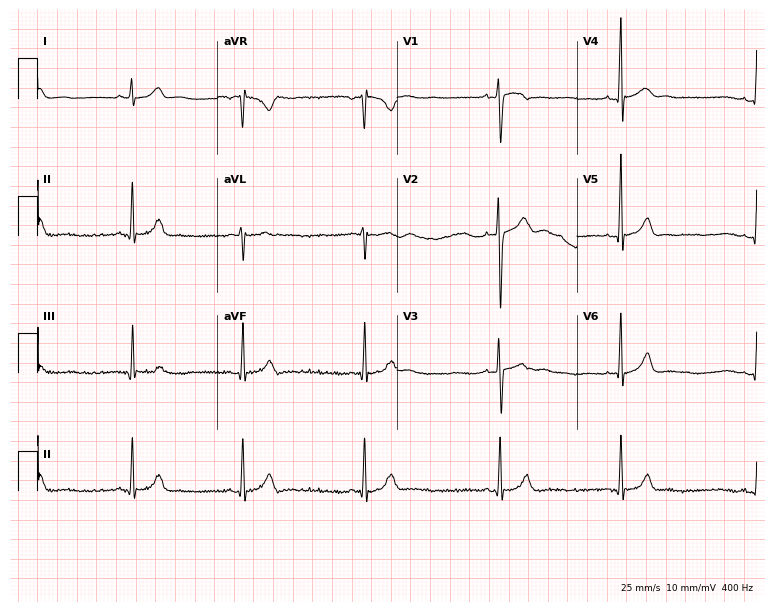
12-lead ECG from a 17-year-old male. Screened for six findings — first-degree AV block, right bundle branch block, left bundle branch block, sinus bradycardia, atrial fibrillation, sinus tachycardia — none is recorded. Other findings, if any, are not listed.